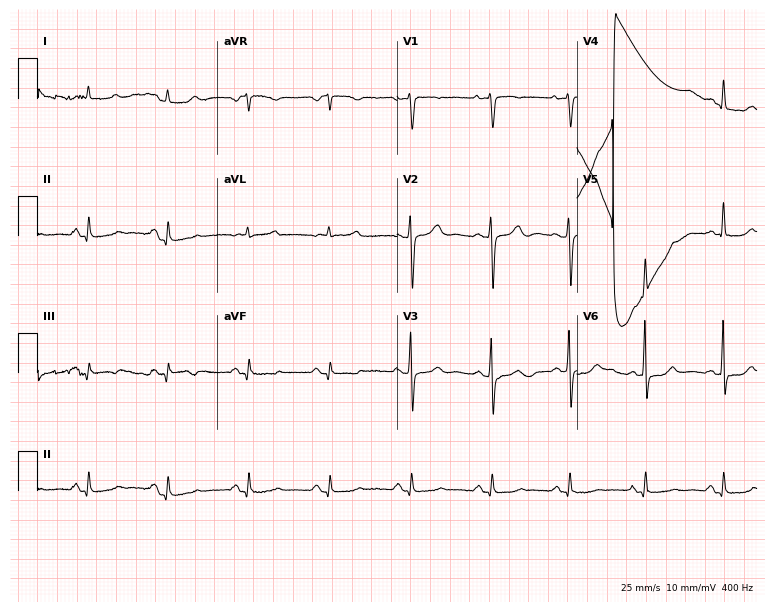
Resting 12-lead electrocardiogram (7.3-second recording at 400 Hz). Patient: a woman, 59 years old. None of these six findings is recorded: first-degree AV block, right bundle branch block, left bundle branch block, sinus bradycardia, atrial fibrillation, sinus tachycardia.